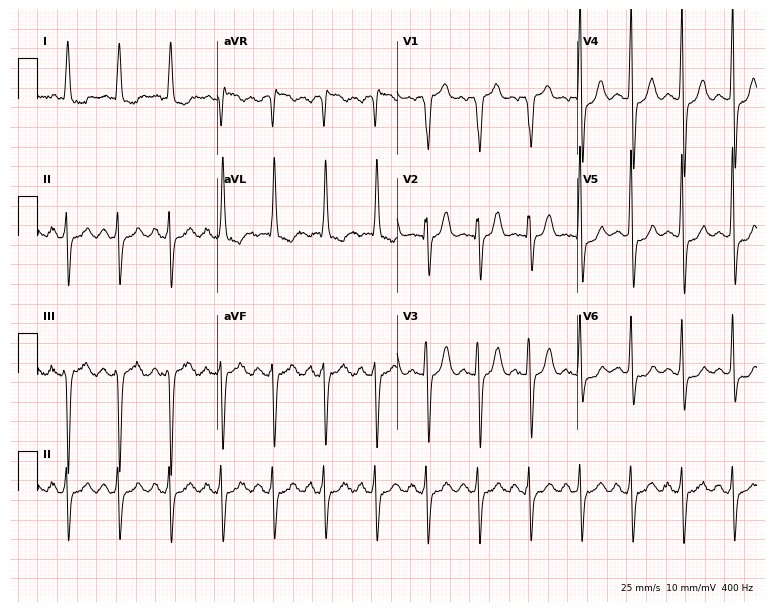
12-lead ECG from an 83-year-old female. Shows sinus tachycardia (a sinus rate of 100 beats per minute or more).